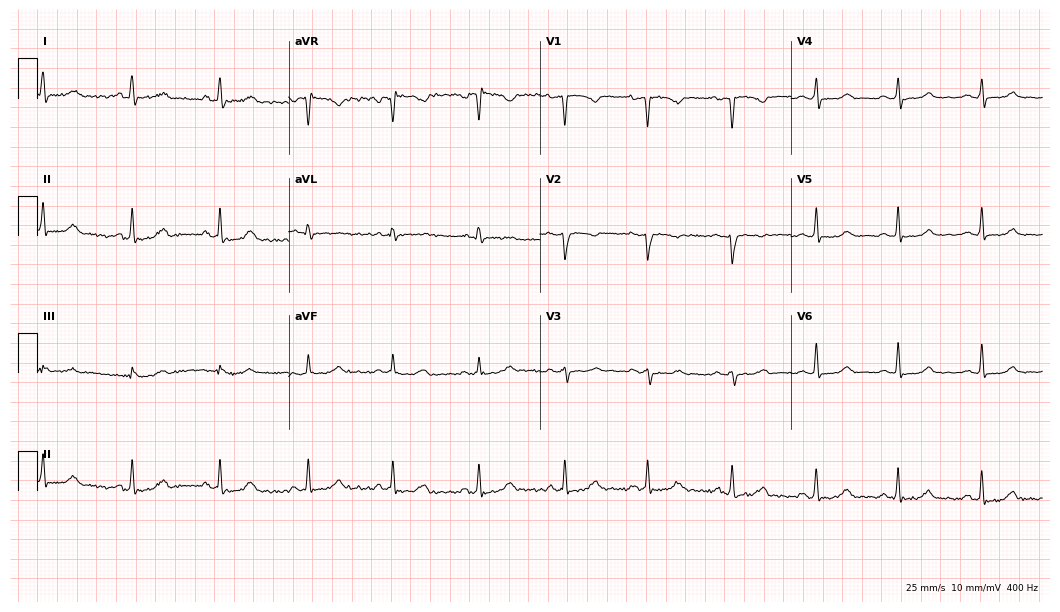
Standard 12-lead ECG recorded from a 36-year-old woman. Read as a normal ECG.